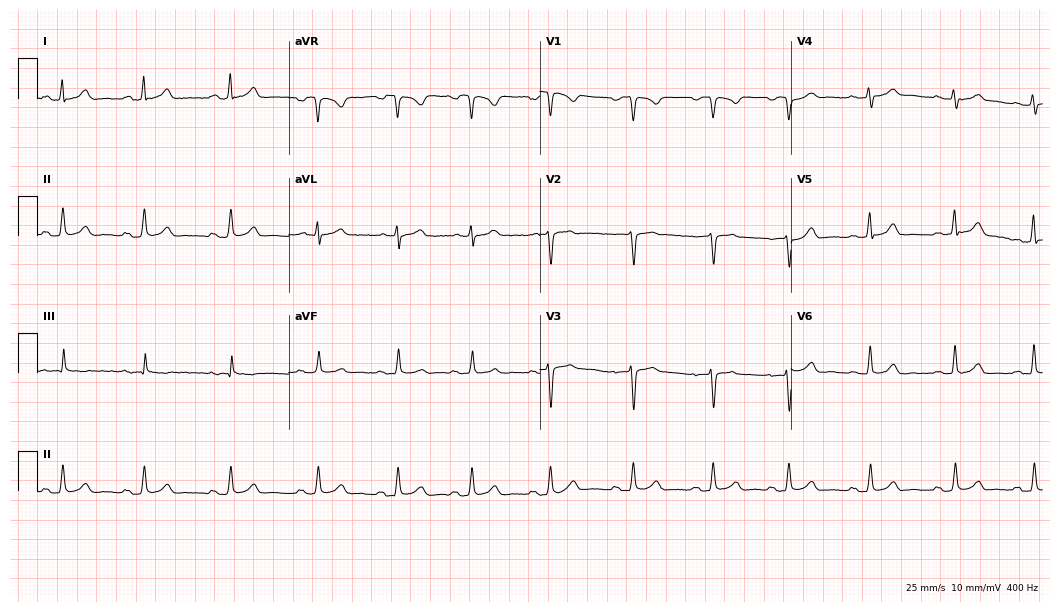
Electrocardiogram (10.2-second recording at 400 Hz), a 21-year-old woman. Overall reading on record: normal ECG.